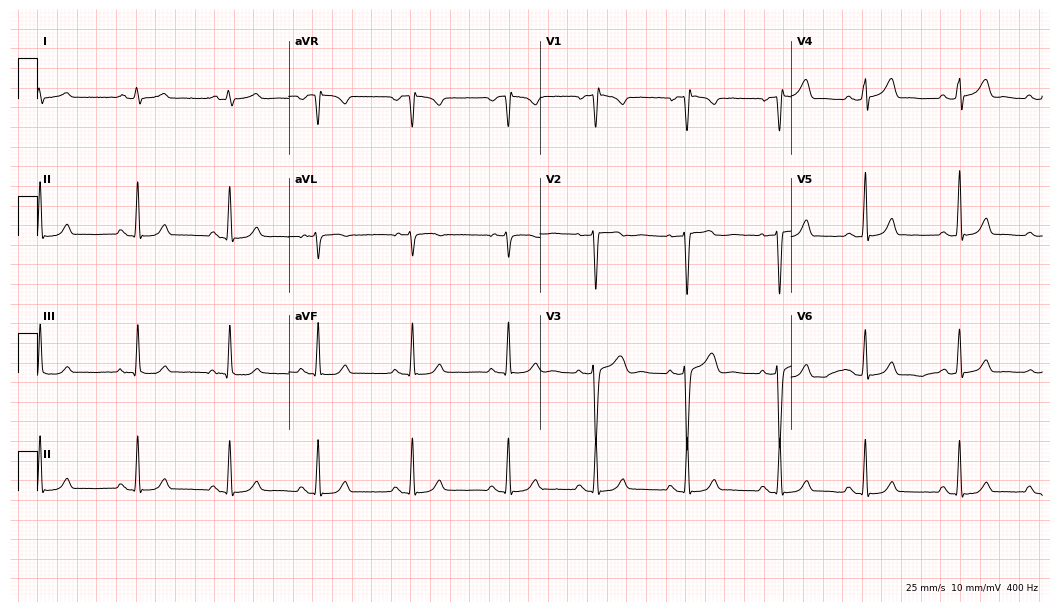
12-lead ECG from a woman, 34 years old. Recorded interpretation: within normal limits.